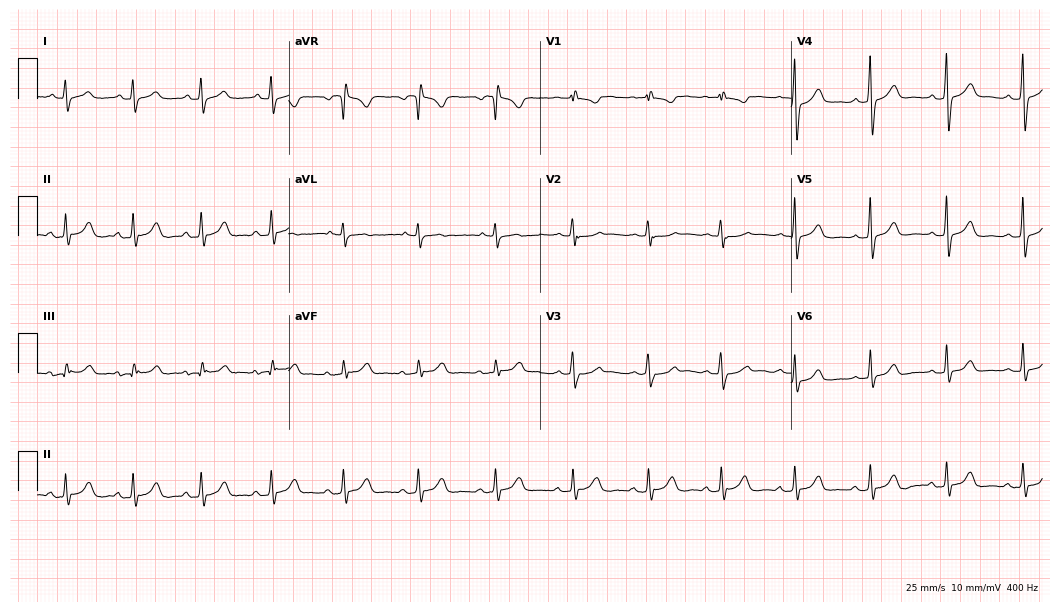
ECG (10.2-second recording at 400 Hz) — a 23-year-old woman. Screened for six findings — first-degree AV block, right bundle branch block, left bundle branch block, sinus bradycardia, atrial fibrillation, sinus tachycardia — none is recorded.